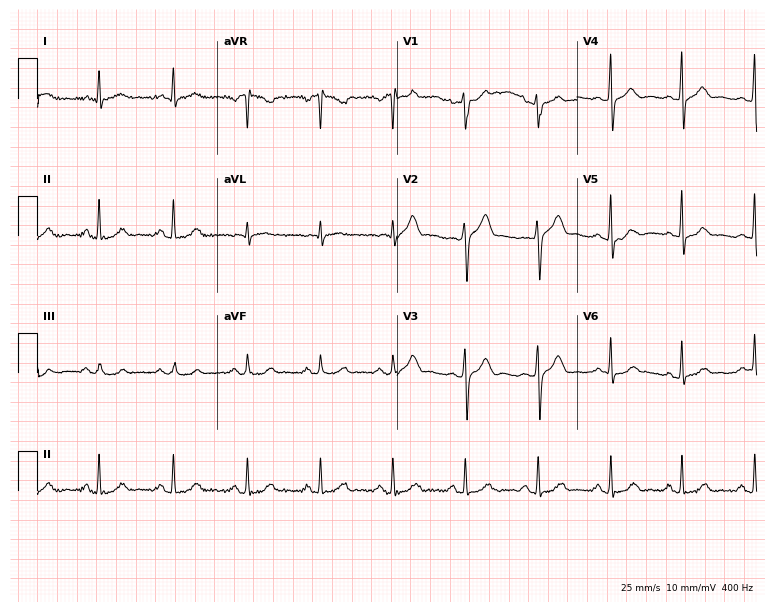
Electrocardiogram, a 46-year-old male. Overall reading on record: normal ECG.